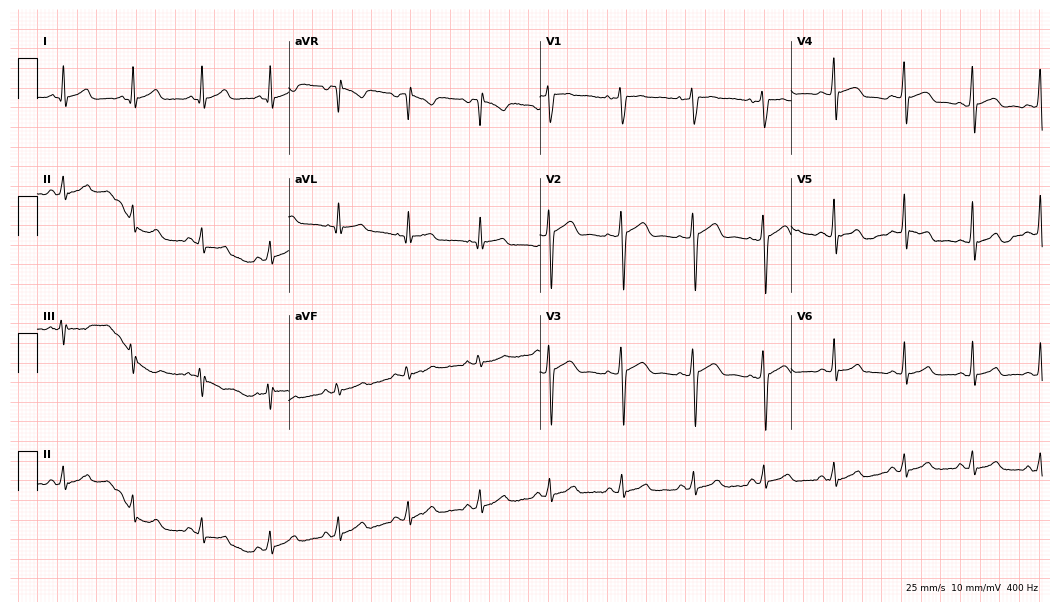
12-lead ECG from a male patient, 23 years old (10.2-second recording at 400 Hz). Recorded interpretation: within normal limits.